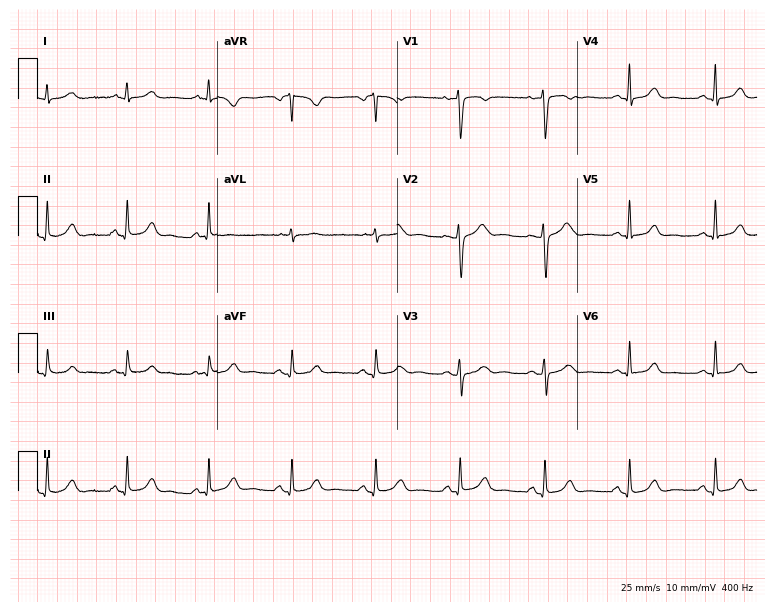
12-lead ECG from a female, 51 years old. No first-degree AV block, right bundle branch block, left bundle branch block, sinus bradycardia, atrial fibrillation or sinus tachycardia recorded for this tracing. Only these six findings were labelled.